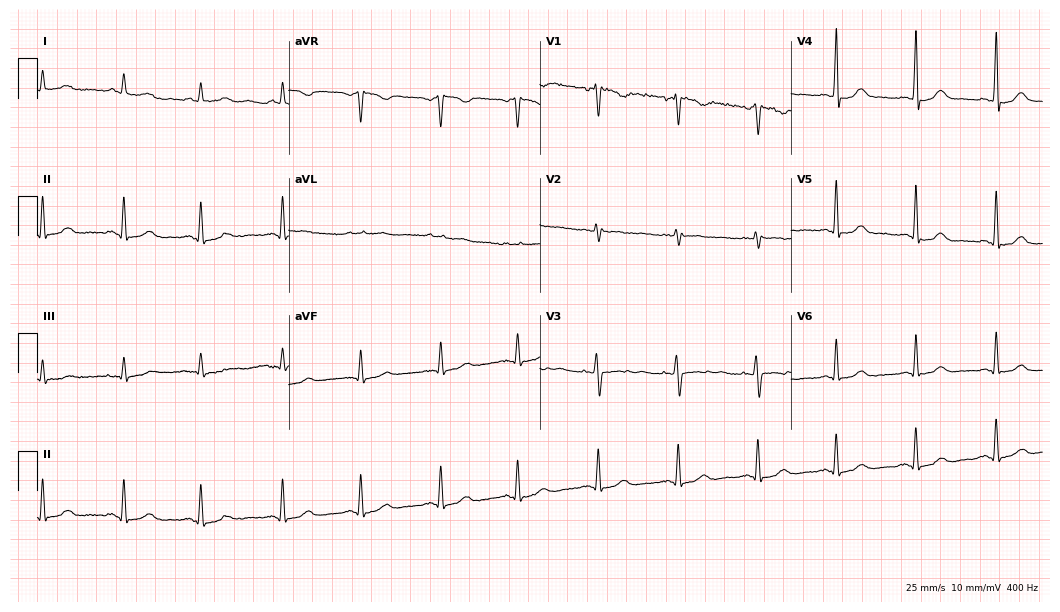
Resting 12-lead electrocardiogram. Patient: a female, 34 years old. None of these six findings is recorded: first-degree AV block, right bundle branch block, left bundle branch block, sinus bradycardia, atrial fibrillation, sinus tachycardia.